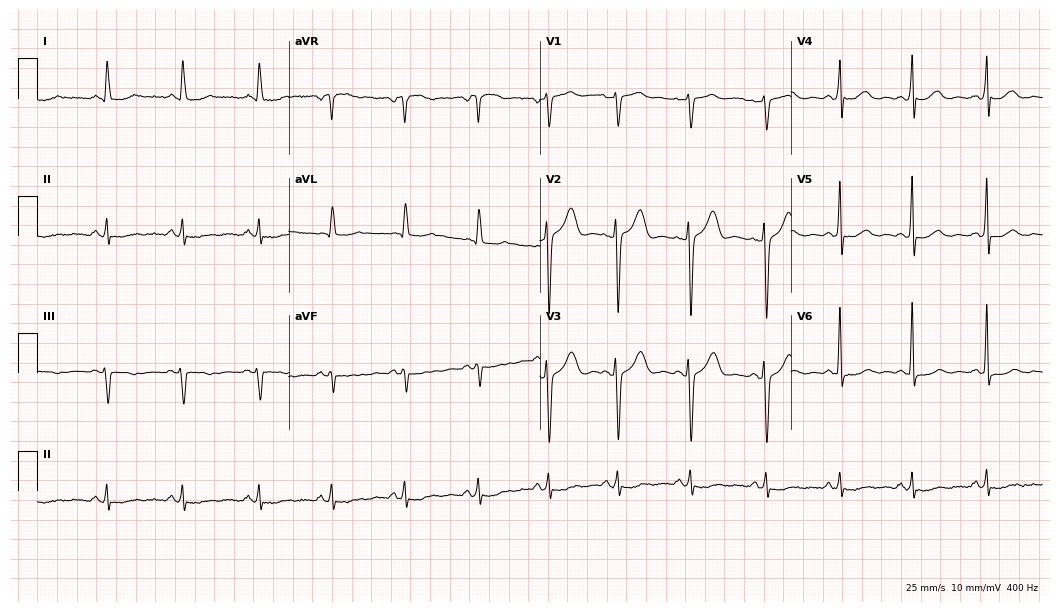
ECG — a female patient, 65 years old. Labelled as a normal ECG.